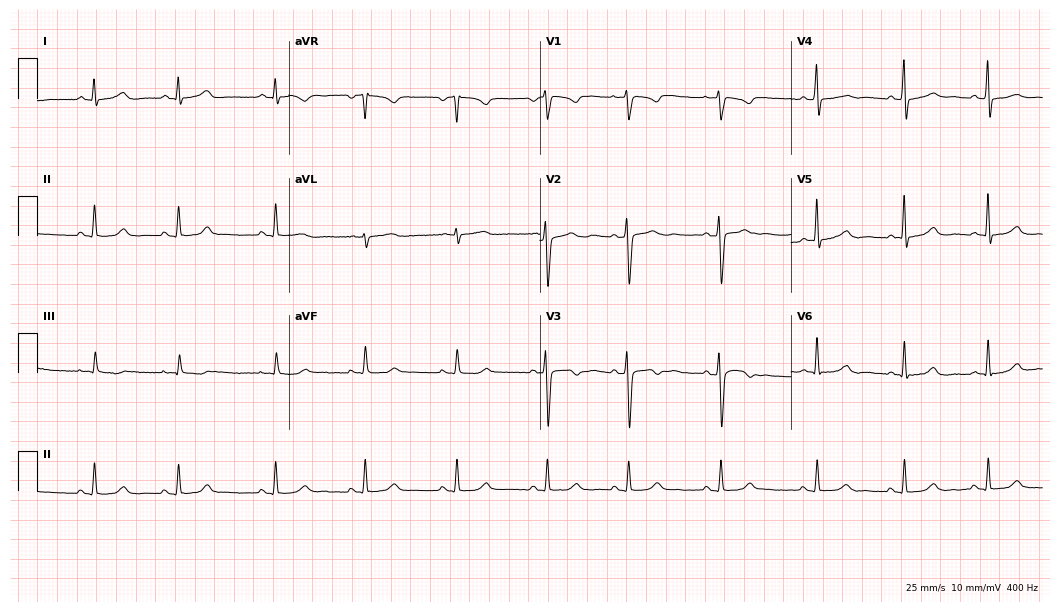
ECG (10.2-second recording at 400 Hz) — a 28-year-old female. Labelled as a normal ECG.